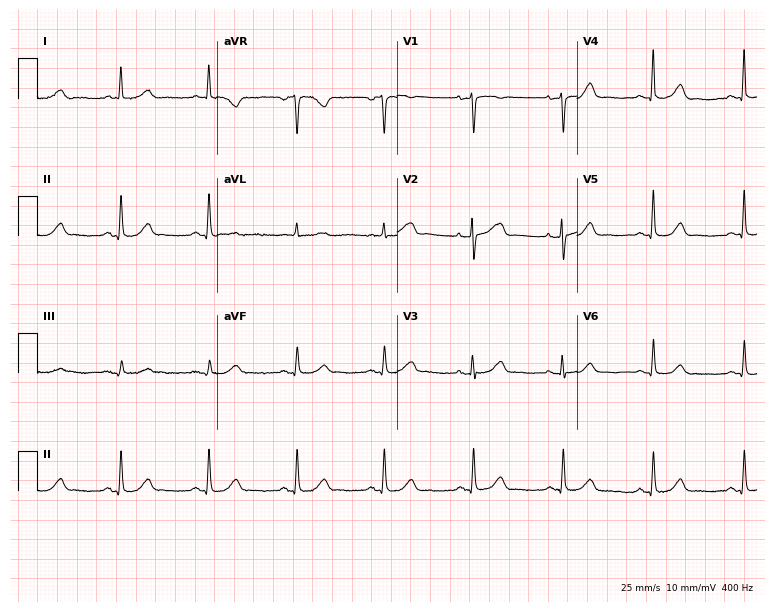
Electrocardiogram (7.3-second recording at 400 Hz), a 76-year-old woman. Overall reading on record: normal ECG.